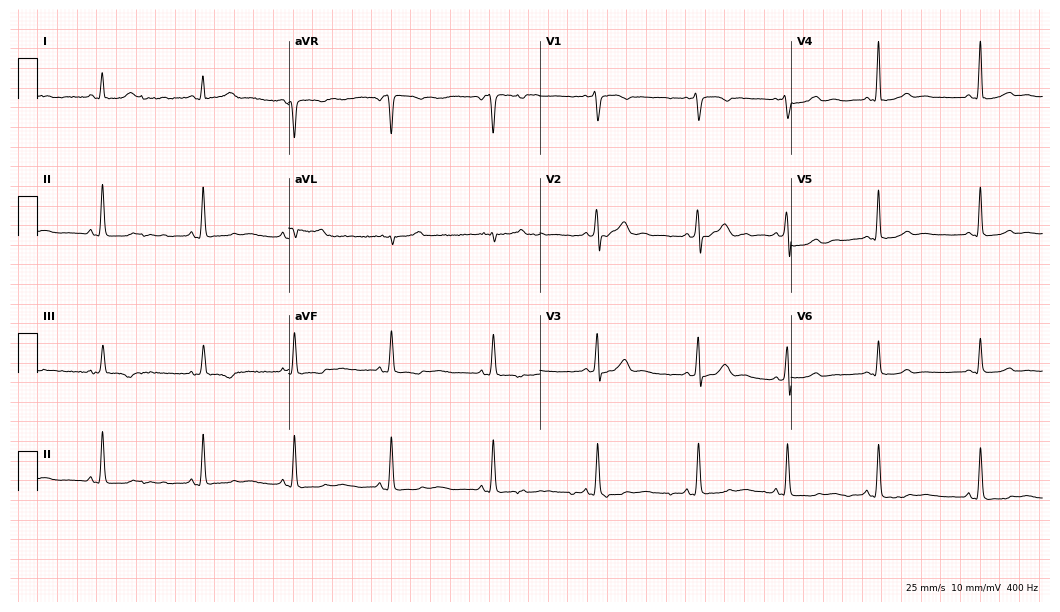
12-lead ECG from a 26-year-old female. No first-degree AV block, right bundle branch block, left bundle branch block, sinus bradycardia, atrial fibrillation or sinus tachycardia recorded for this tracing. Only these six findings were labelled.